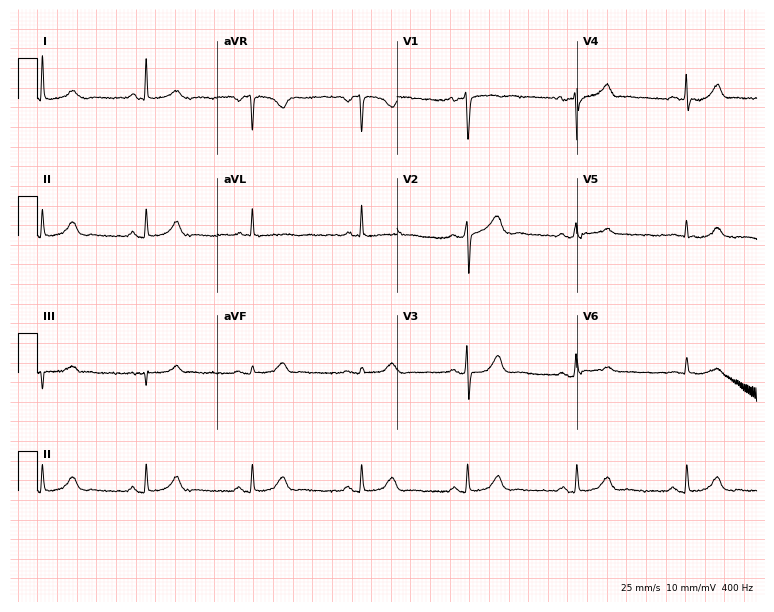
12-lead ECG from a 40-year-old female. Labelled as a normal ECG.